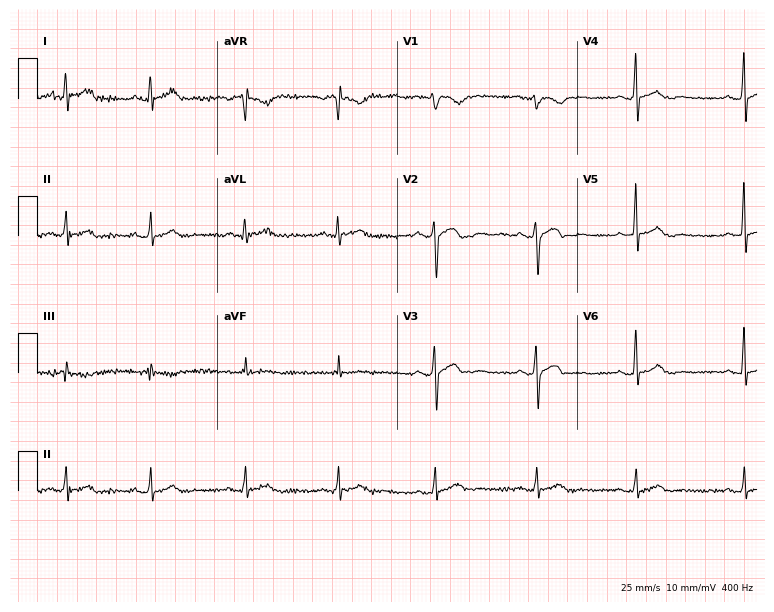
12-lead ECG from a woman, 43 years old. No first-degree AV block, right bundle branch block, left bundle branch block, sinus bradycardia, atrial fibrillation or sinus tachycardia recorded for this tracing.